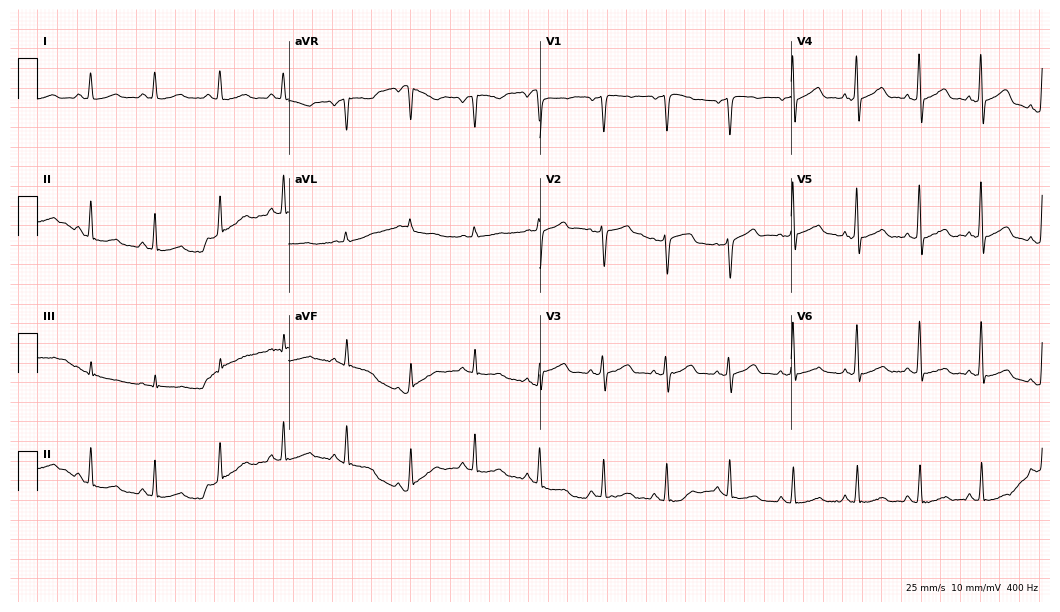
Electrocardiogram, a female, 58 years old. Overall reading on record: normal ECG.